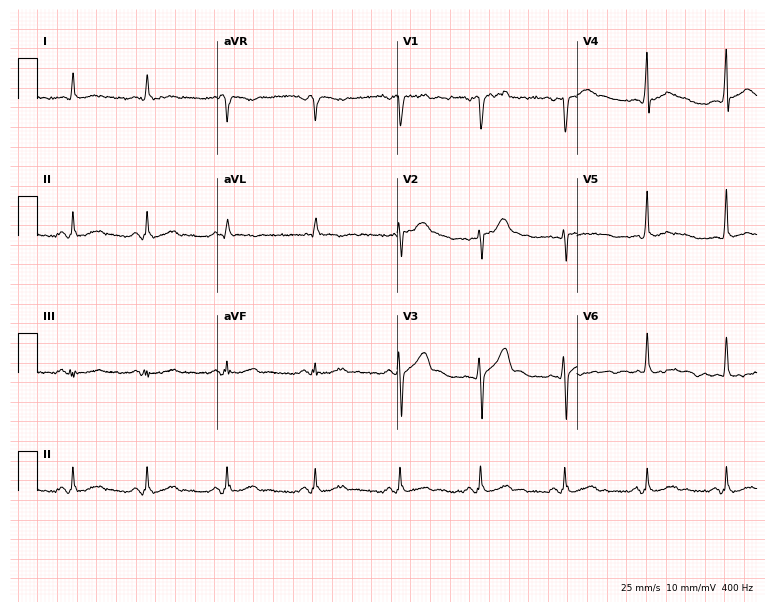
Resting 12-lead electrocardiogram (7.3-second recording at 400 Hz). Patient: a 43-year-old man. None of these six findings is recorded: first-degree AV block, right bundle branch block, left bundle branch block, sinus bradycardia, atrial fibrillation, sinus tachycardia. Findings outside these six are not listed.